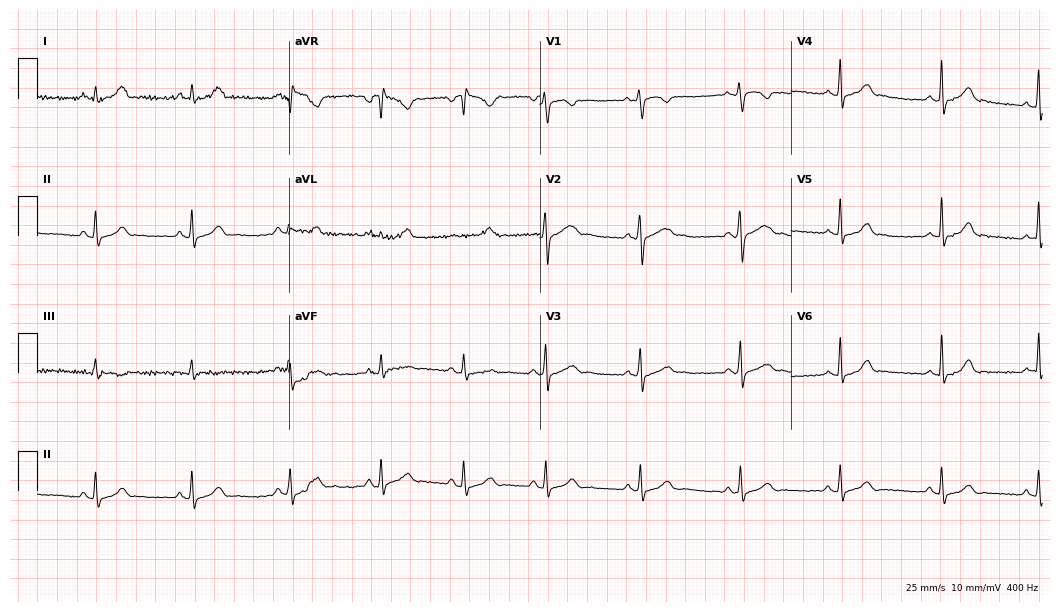
Resting 12-lead electrocardiogram (10.2-second recording at 400 Hz). Patient: a 29-year-old female. Read as a normal ECG.